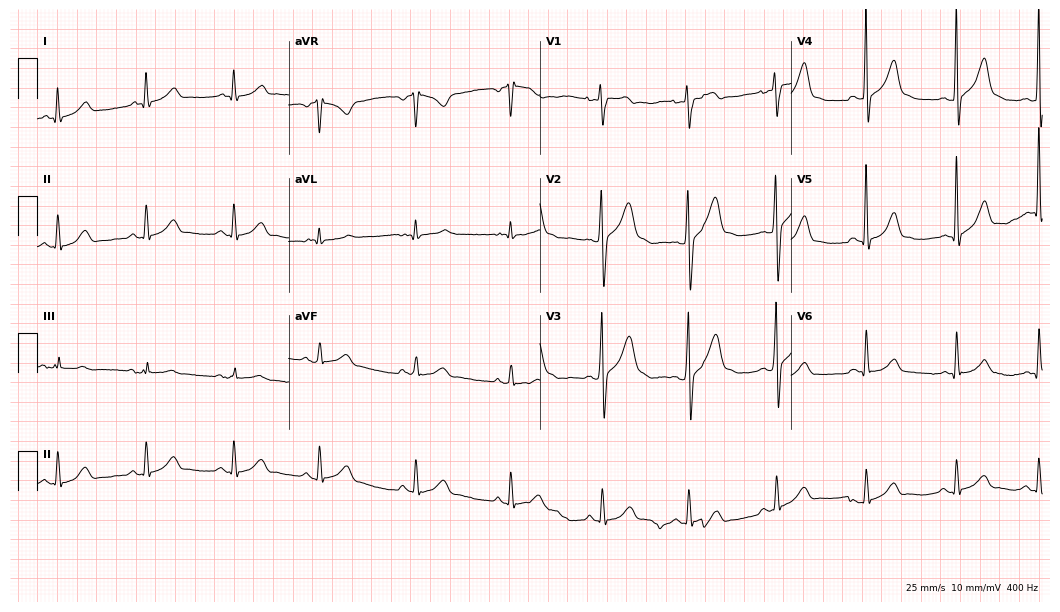
12-lead ECG from a male, 35 years old. Screened for six findings — first-degree AV block, right bundle branch block (RBBB), left bundle branch block (LBBB), sinus bradycardia, atrial fibrillation (AF), sinus tachycardia — none is recorded. Only these six findings were labelled.